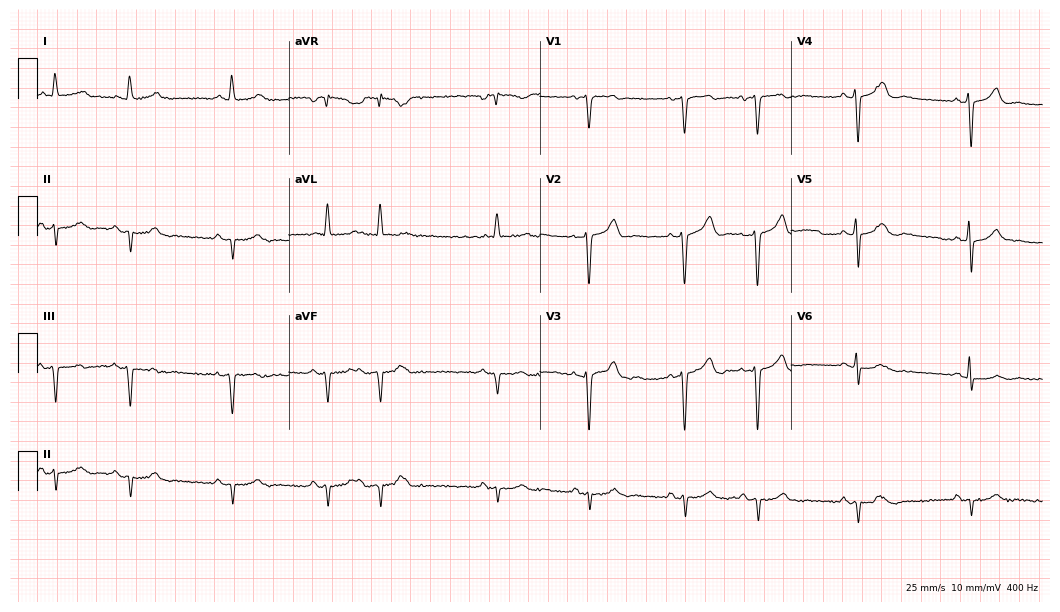
Resting 12-lead electrocardiogram (10.2-second recording at 400 Hz). Patient: a 75-year-old woman. None of these six findings is recorded: first-degree AV block, right bundle branch block (RBBB), left bundle branch block (LBBB), sinus bradycardia, atrial fibrillation (AF), sinus tachycardia. Other findings, if any, are not listed.